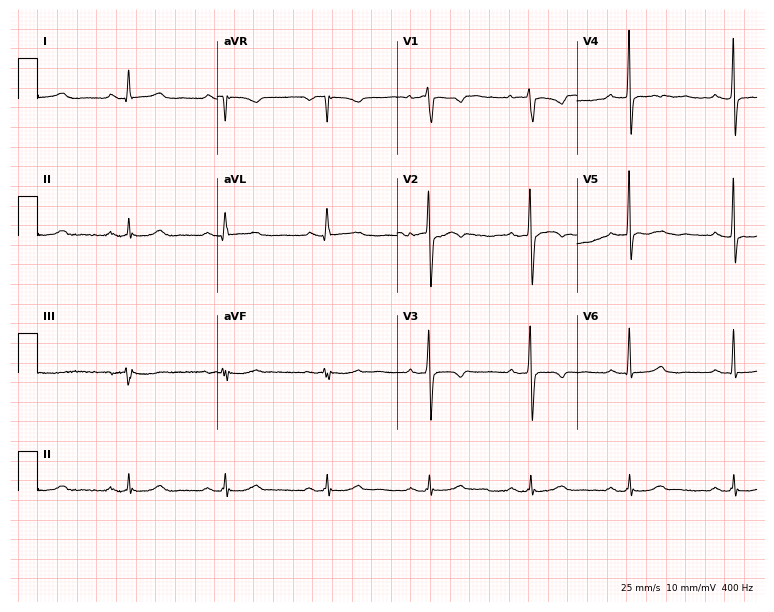
Electrocardiogram, a 60-year-old female. Of the six screened findings (first-degree AV block, right bundle branch block, left bundle branch block, sinus bradycardia, atrial fibrillation, sinus tachycardia), none is recorded. Findings outside these six are not listed.